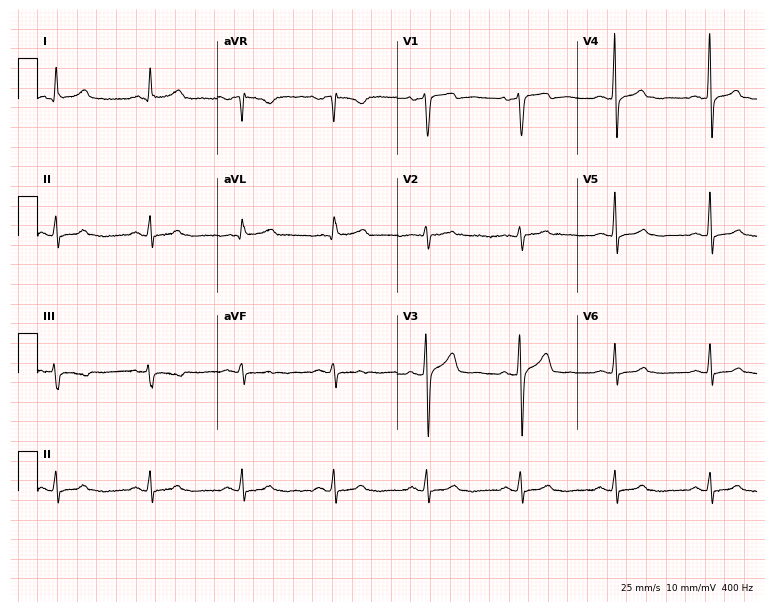
Standard 12-lead ECG recorded from a male patient, 52 years old. None of these six findings is recorded: first-degree AV block, right bundle branch block, left bundle branch block, sinus bradycardia, atrial fibrillation, sinus tachycardia.